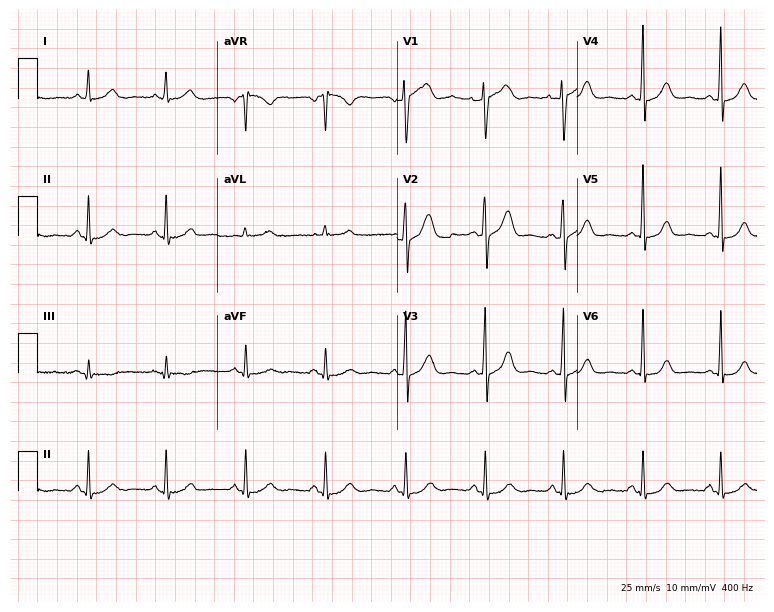
12-lead ECG from a 49-year-old woman (7.3-second recording at 400 Hz). Recorded interpretation: within normal limits.